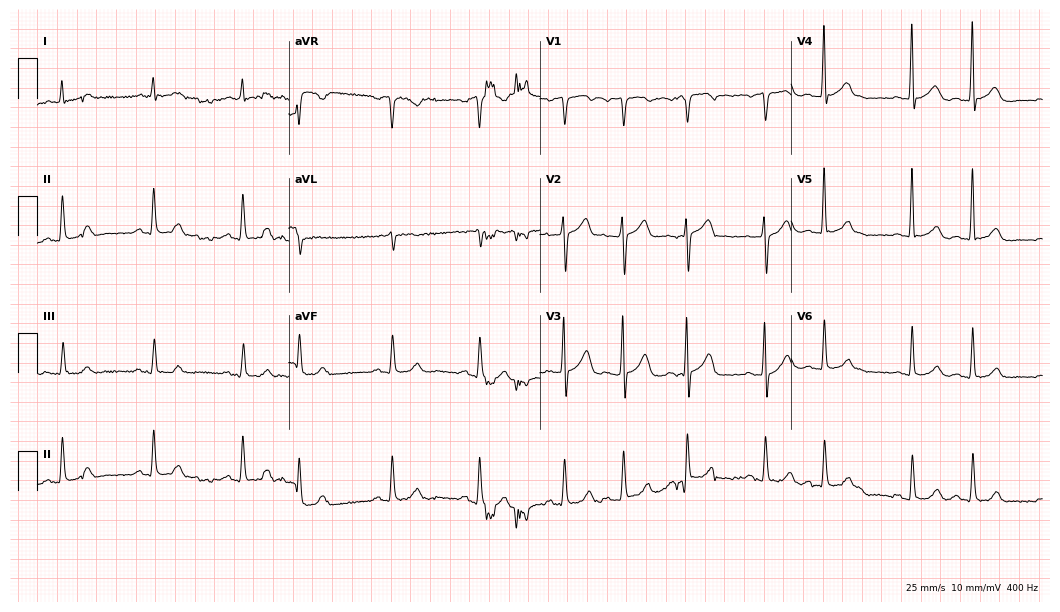
Resting 12-lead electrocardiogram (10.2-second recording at 400 Hz). Patient: a male, 77 years old. None of these six findings is recorded: first-degree AV block, right bundle branch block, left bundle branch block, sinus bradycardia, atrial fibrillation, sinus tachycardia. Findings outside these six are not listed.